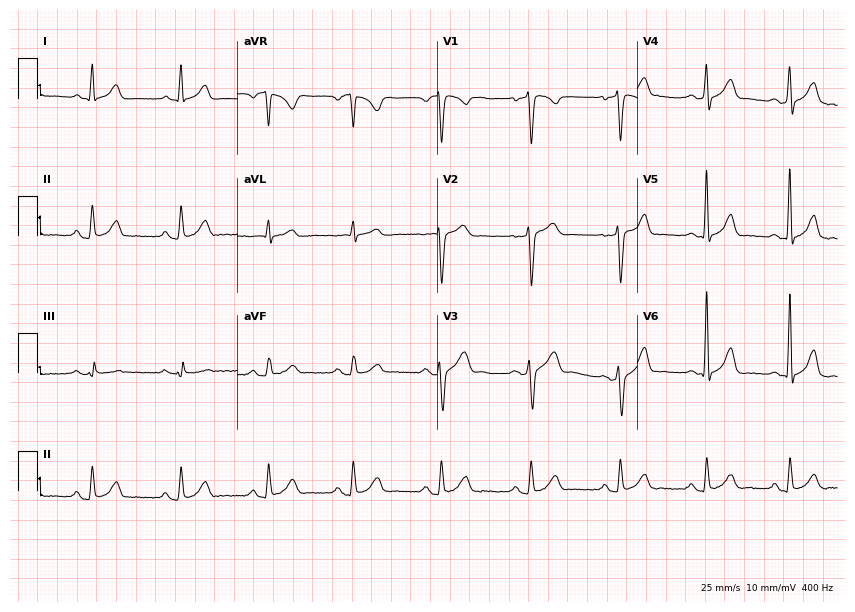
Standard 12-lead ECG recorded from a male patient, 23 years old (8.2-second recording at 400 Hz). None of these six findings is recorded: first-degree AV block, right bundle branch block, left bundle branch block, sinus bradycardia, atrial fibrillation, sinus tachycardia. Only these six findings were labelled.